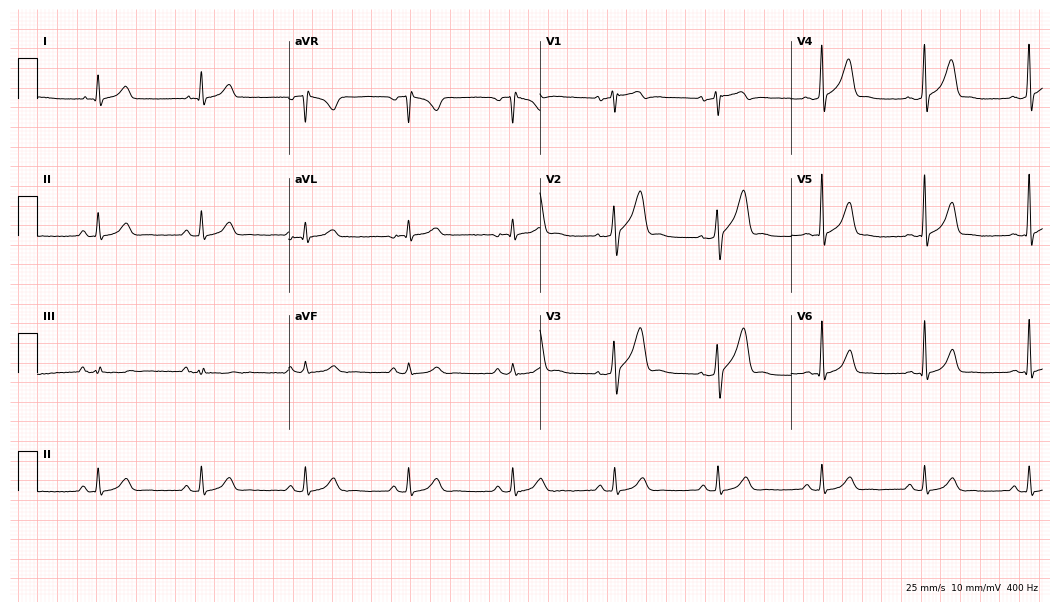
Electrocardiogram (10.2-second recording at 400 Hz), a male patient, 55 years old. Overall reading on record: normal ECG.